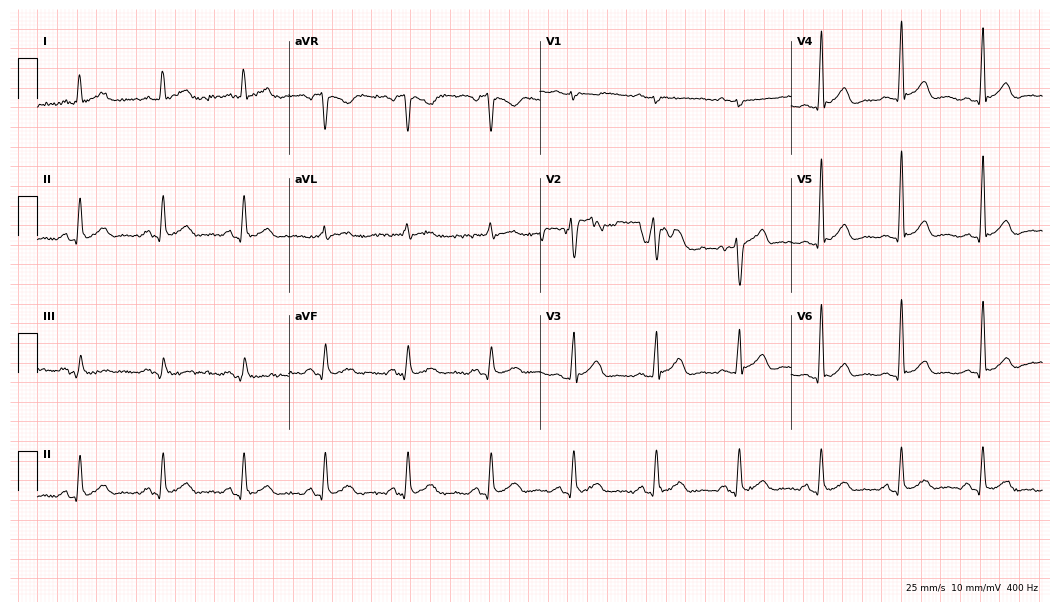
Resting 12-lead electrocardiogram (10.2-second recording at 400 Hz). Patient: a 50-year-old male. None of these six findings is recorded: first-degree AV block, right bundle branch block, left bundle branch block, sinus bradycardia, atrial fibrillation, sinus tachycardia. Findings outside these six are not listed.